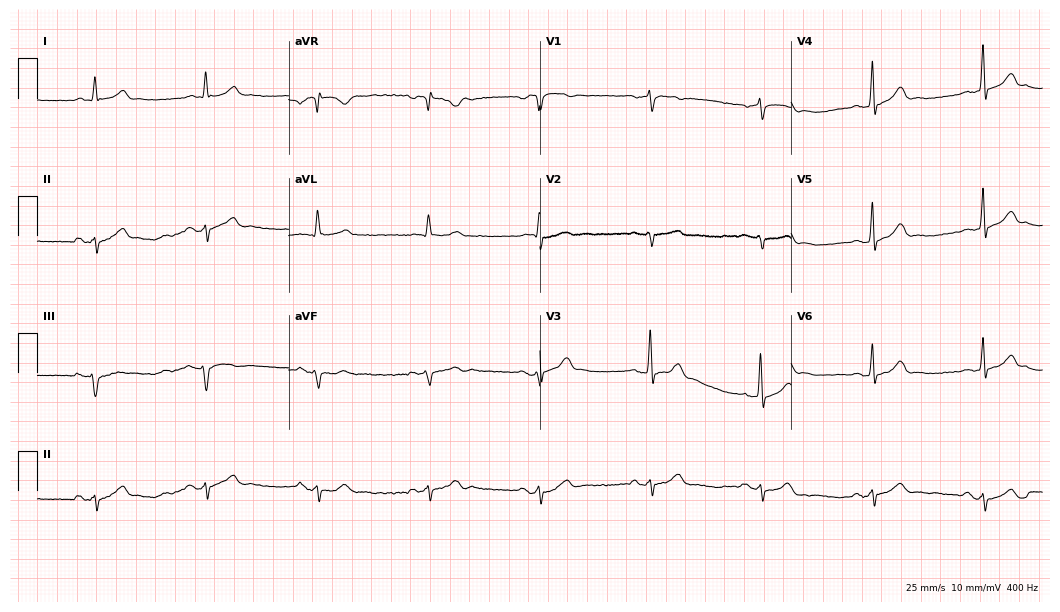
Electrocardiogram, a 70-year-old man. Of the six screened findings (first-degree AV block, right bundle branch block, left bundle branch block, sinus bradycardia, atrial fibrillation, sinus tachycardia), none is recorded. Findings outside these six are not listed.